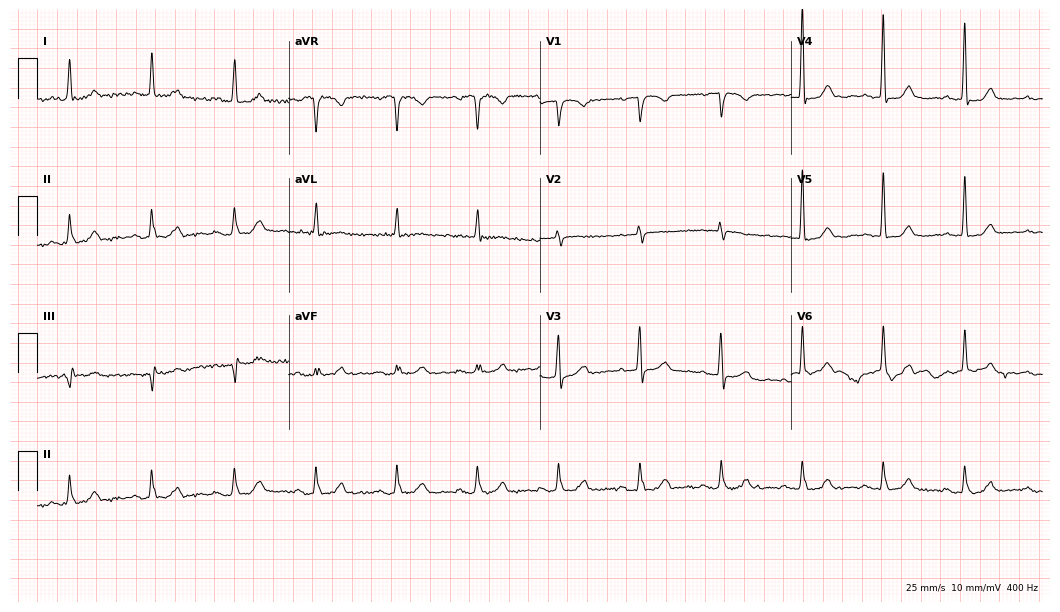
12-lead ECG from a 71-year-old woman (10.2-second recording at 400 Hz). Recorded interpretation: within normal limits.